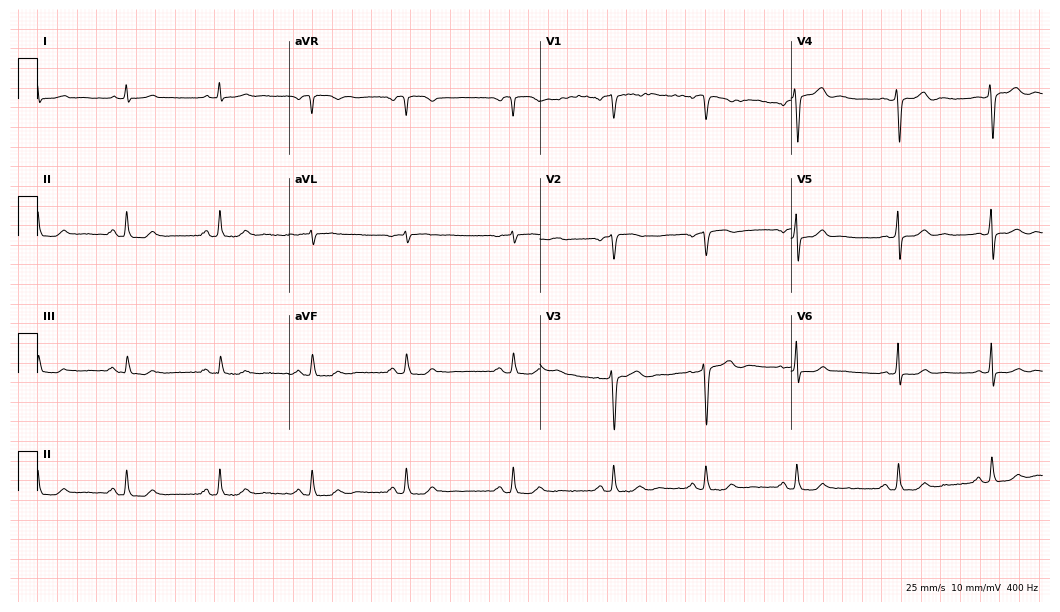
12-lead ECG from a 66-year-old female patient. Recorded interpretation: within normal limits.